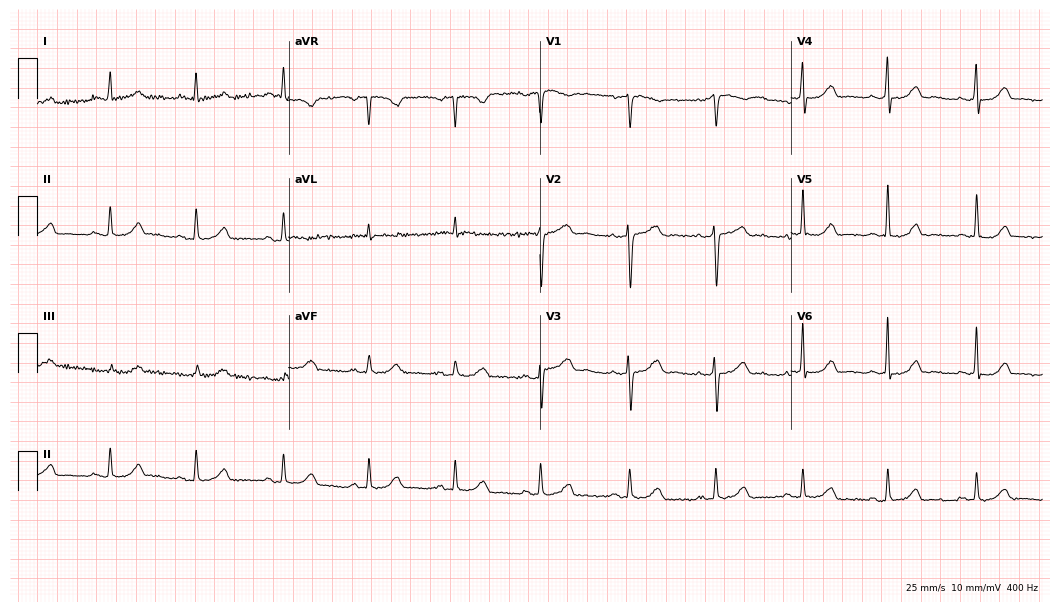
12-lead ECG from a female, 49 years old. No first-degree AV block, right bundle branch block, left bundle branch block, sinus bradycardia, atrial fibrillation or sinus tachycardia recorded for this tracing.